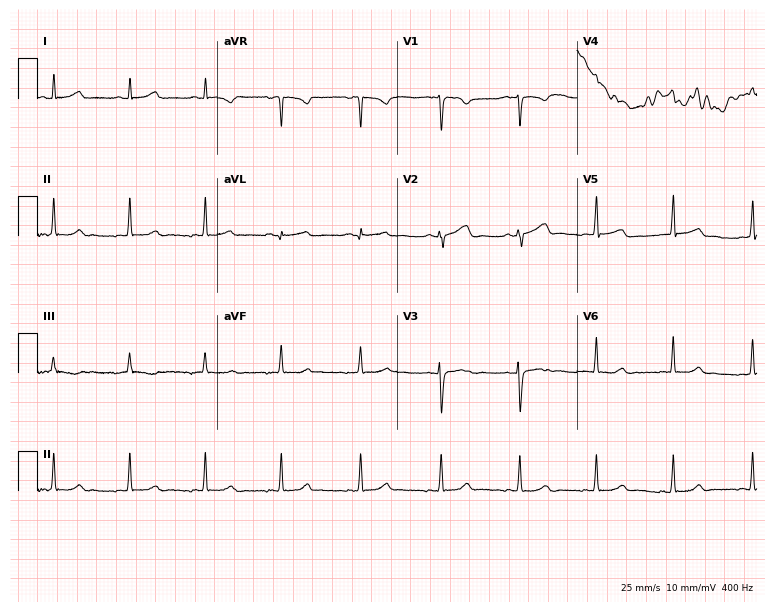
12-lead ECG (7.3-second recording at 400 Hz) from a 23-year-old female. Screened for six findings — first-degree AV block, right bundle branch block, left bundle branch block, sinus bradycardia, atrial fibrillation, sinus tachycardia — none is recorded. Other findings, if any, are not listed.